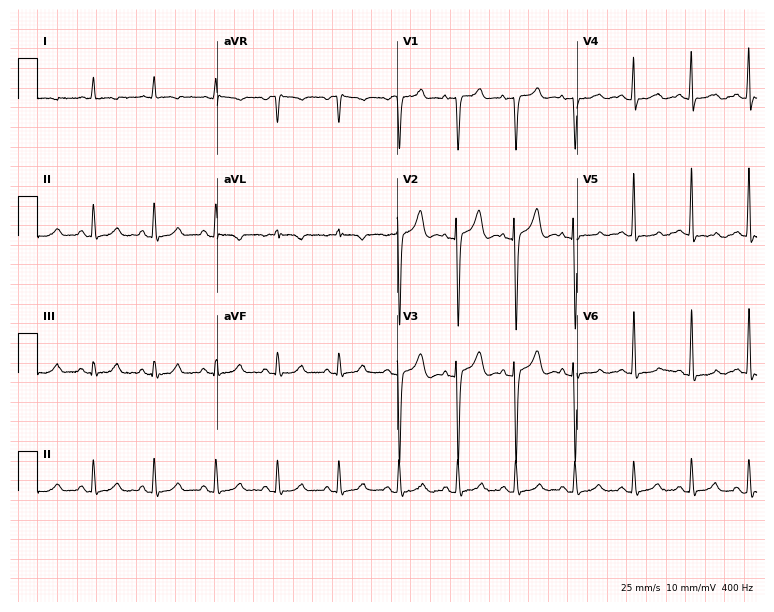
12-lead ECG from a 77-year-old woman. Screened for six findings — first-degree AV block, right bundle branch block, left bundle branch block, sinus bradycardia, atrial fibrillation, sinus tachycardia — none is recorded.